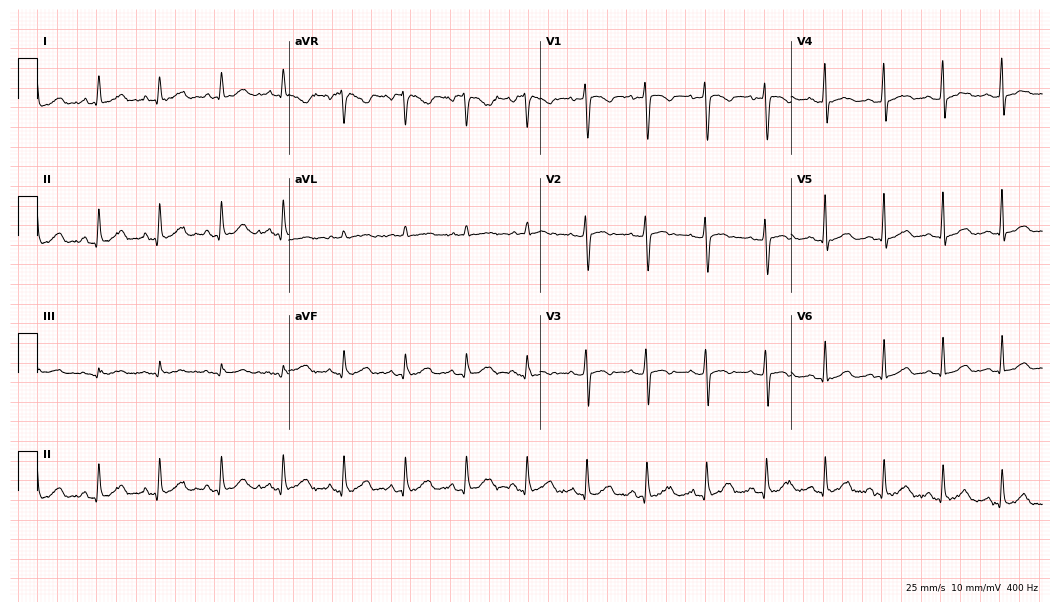
Standard 12-lead ECG recorded from a female patient, 30 years old (10.2-second recording at 400 Hz). Read as a normal ECG.